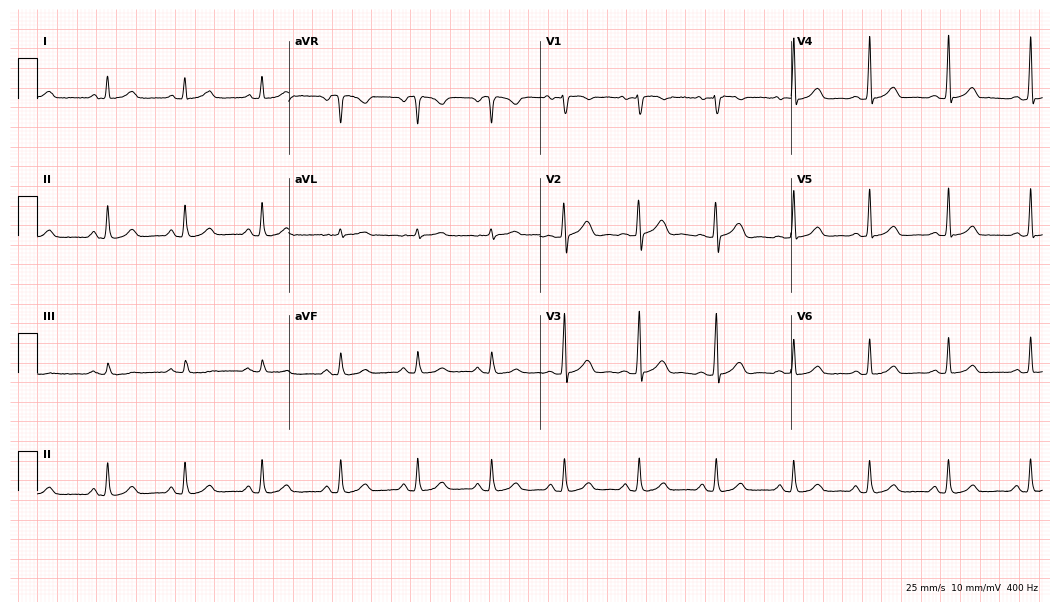
Electrocardiogram, a female, 17 years old. Overall reading on record: normal ECG.